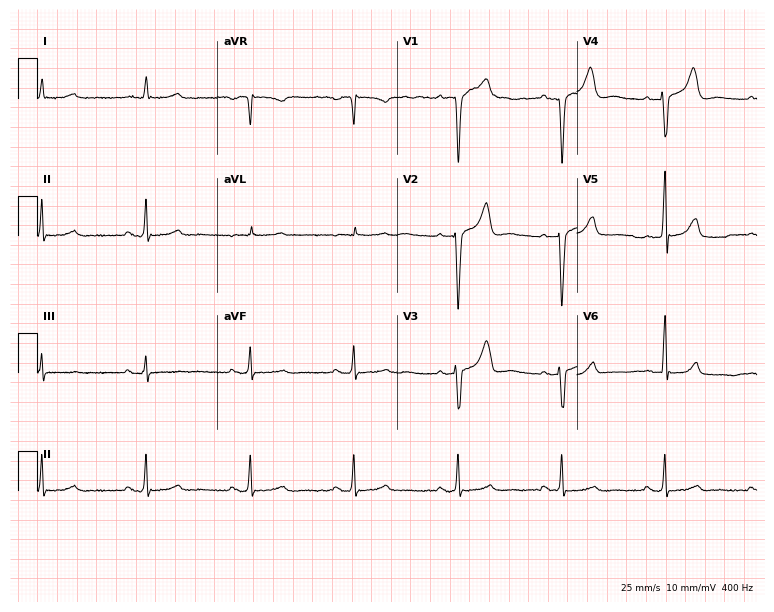
12-lead ECG from a male patient, 45 years old. No first-degree AV block, right bundle branch block (RBBB), left bundle branch block (LBBB), sinus bradycardia, atrial fibrillation (AF) or sinus tachycardia recorded for this tracing.